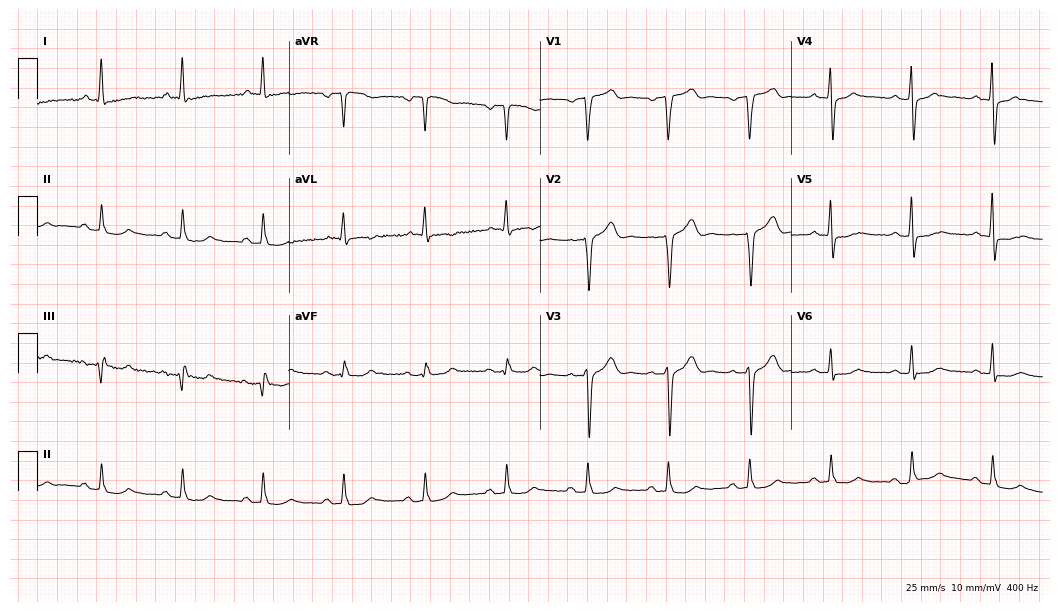
ECG (10.2-second recording at 400 Hz) — a male patient, 59 years old. Screened for six findings — first-degree AV block, right bundle branch block (RBBB), left bundle branch block (LBBB), sinus bradycardia, atrial fibrillation (AF), sinus tachycardia — none is recorded.